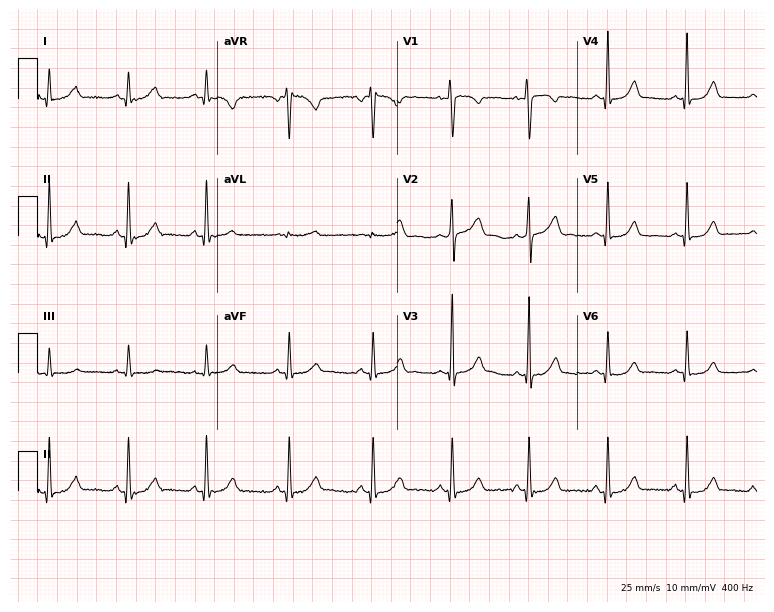
ECG (7.3-second recording at 400 Hz) — a female patient, 36 years old. Labelled as a normal ECG.